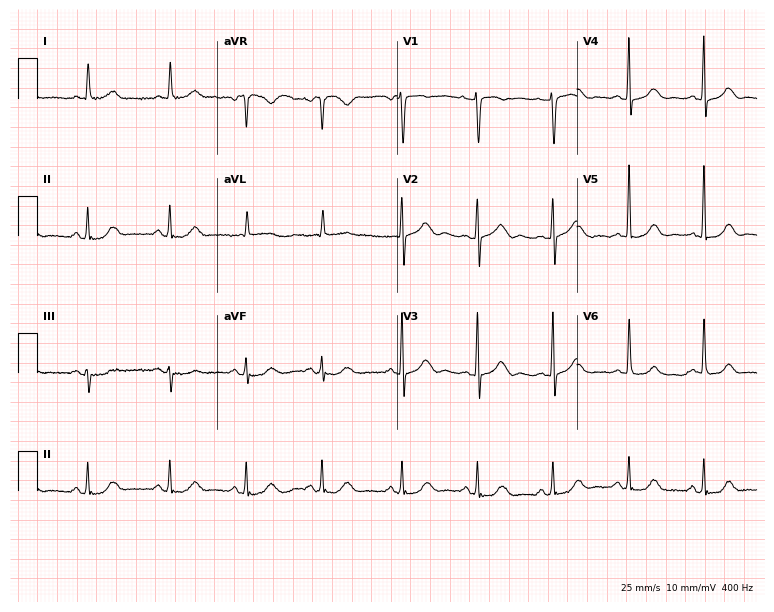
Electrocardiogram, a 67-year-old female patient. Of the six screened findings (first-degree AV block, right bundle branch block (RBBB), left bundle branch block (LBBB), sinus bradycardia, atrial fibrillation (AF), sinus tachycardia), none is recorded. Only these six findings were labelled.